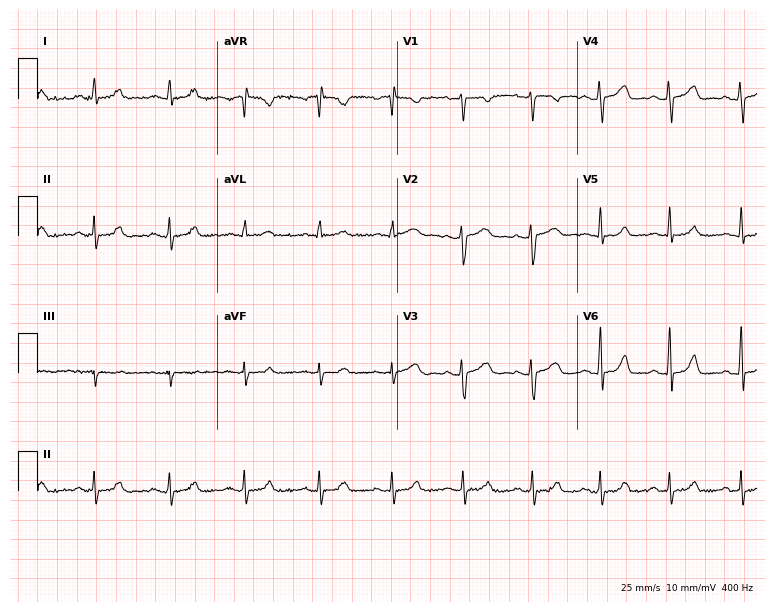
Electrocardiogram, a woman, 43 years old. Overall reading on record: normal ECG.